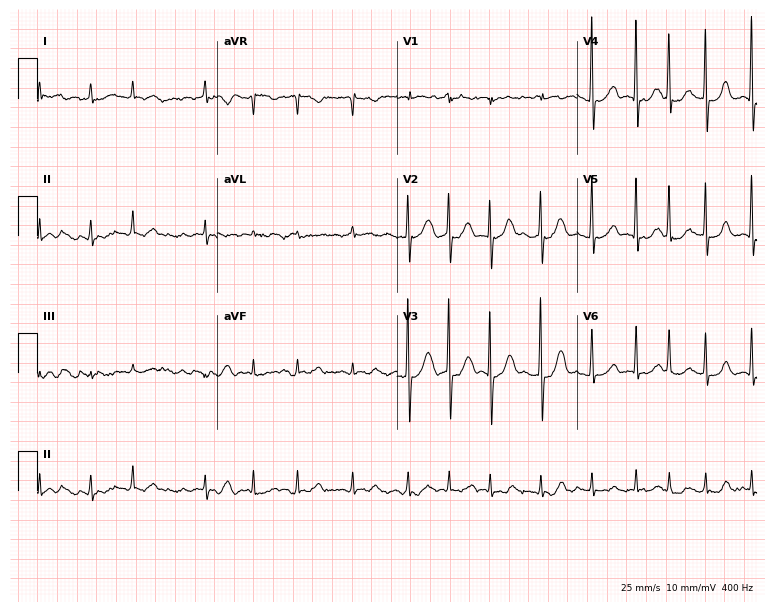
Standard 12-lead ECG recorded from a woman, 82 years old. The tracing shows atrial fibrillation (AF).